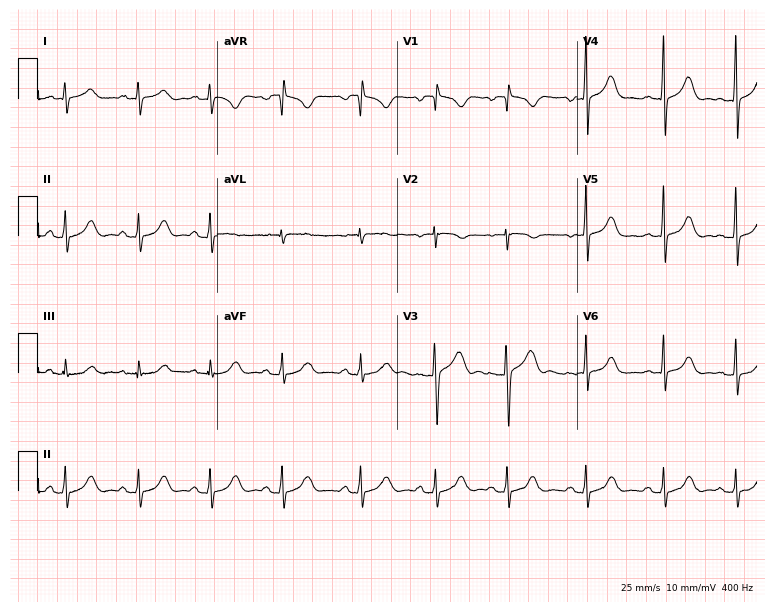
ECG — a female, 22 years old. Labelled as a normal ECG.